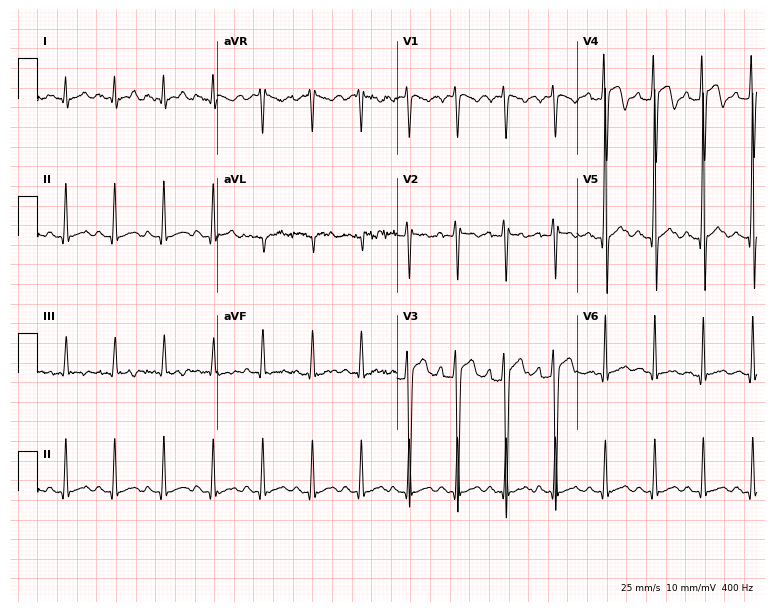
12-lead ECG from a 27-year-old male patient (7.3-second recording at 400 Hz). Shows sinus tachycardia (a sinus rate of 100 beats per minute or more).